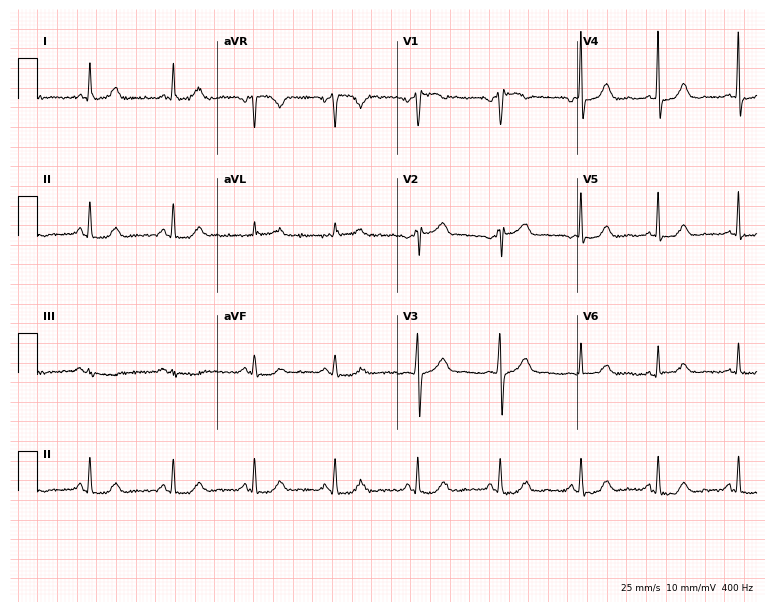
Resting 12-lead electrocardiogram (7.3-second recording at 400 Hz). Patient: a 54-year-old female. None of these six findings is recorded: first-degree AV block, right bundle branch block (RBBB), left bundle branch block (LBBB), sinus bradycardia, atrial fibrillation (AF), sinus tachycardia. Only these six findings were labelled.